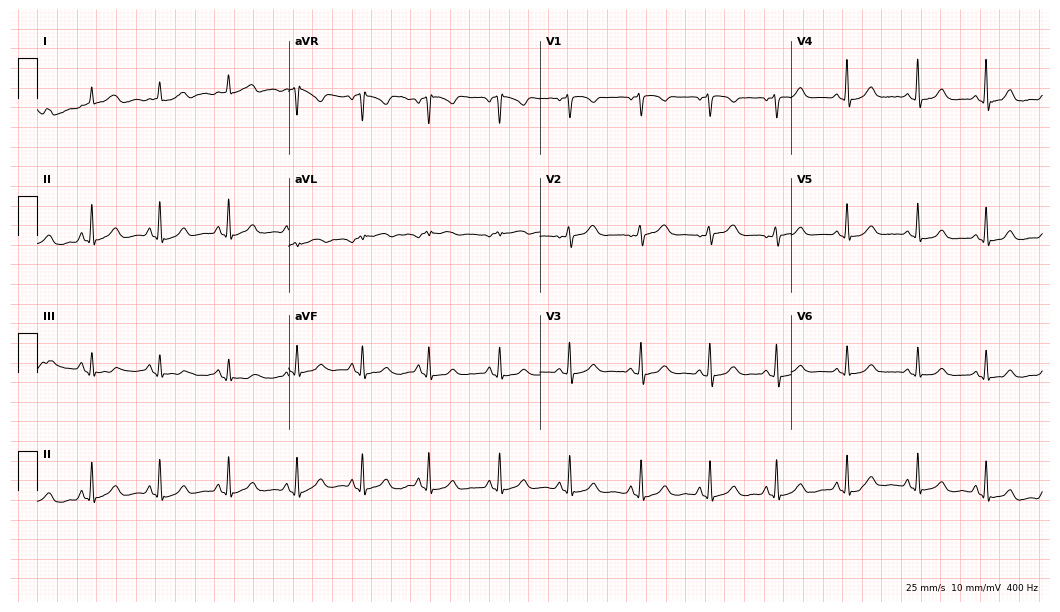
Resting 12-lead electrocardiogram. Patient: a 41-year-old female. Read as a normal ECG.